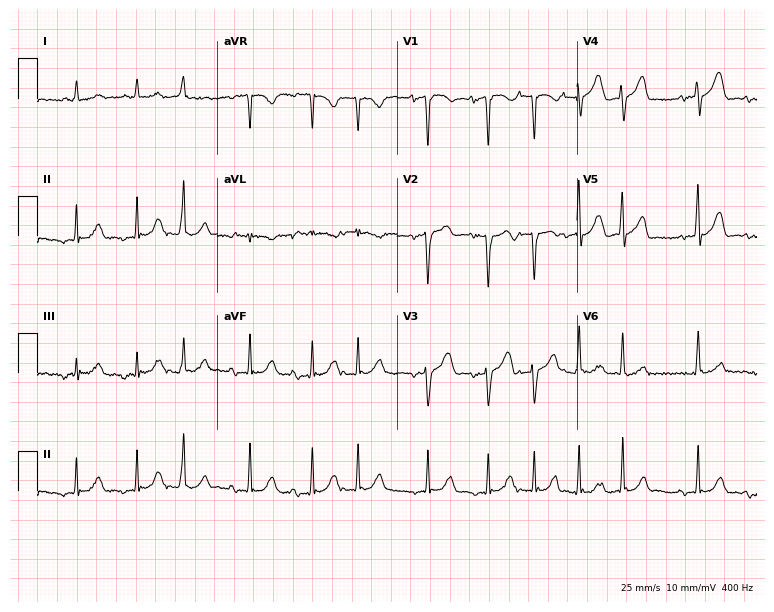
12-lead ECG from a male, 84 years old. Findings include sinus tachycardia (a sinus rate of 100 beats per minute or more).